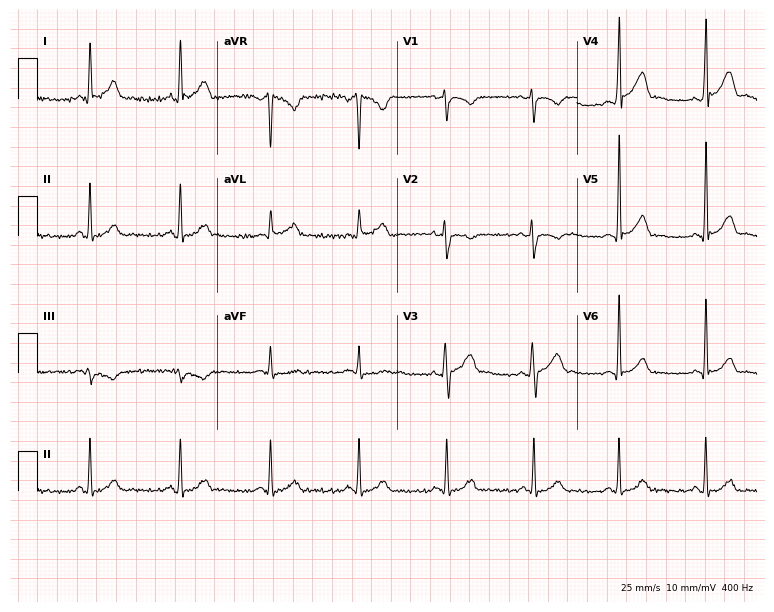
12-lead ECG (7.3-second recording at 400 Hz) from a man, 42 years old. Labelled as a normal ECG.